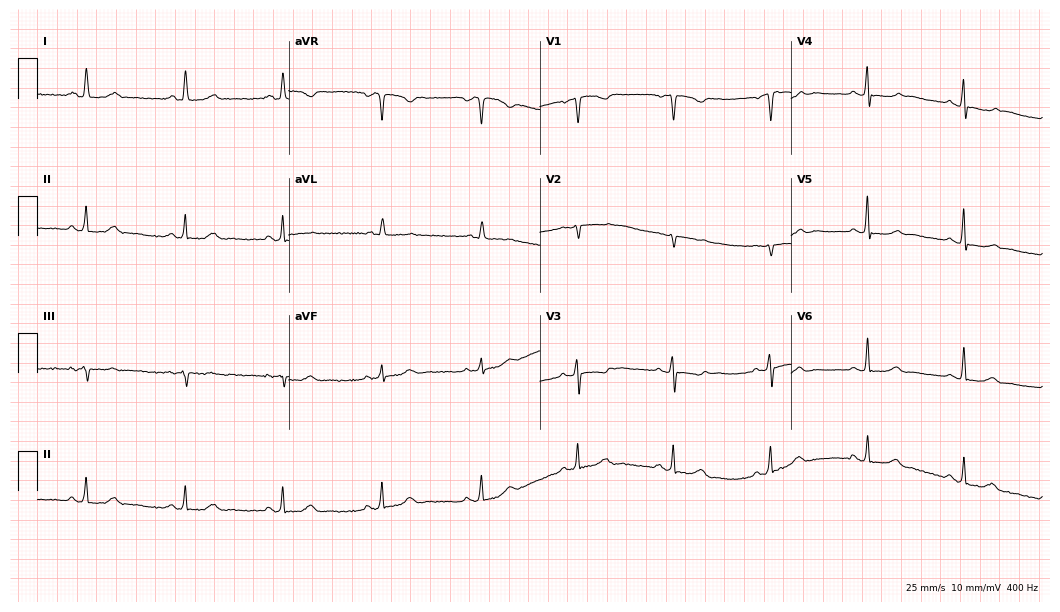
ECG — a 66-year-old female patient. Screened for six findings — first-degree AV block, right bundle branch block, left bundle branch block, sinus bradycardia, atrial fibrillation, sinus tachycardia — none is recorded. Other findings, if any, are not listed.